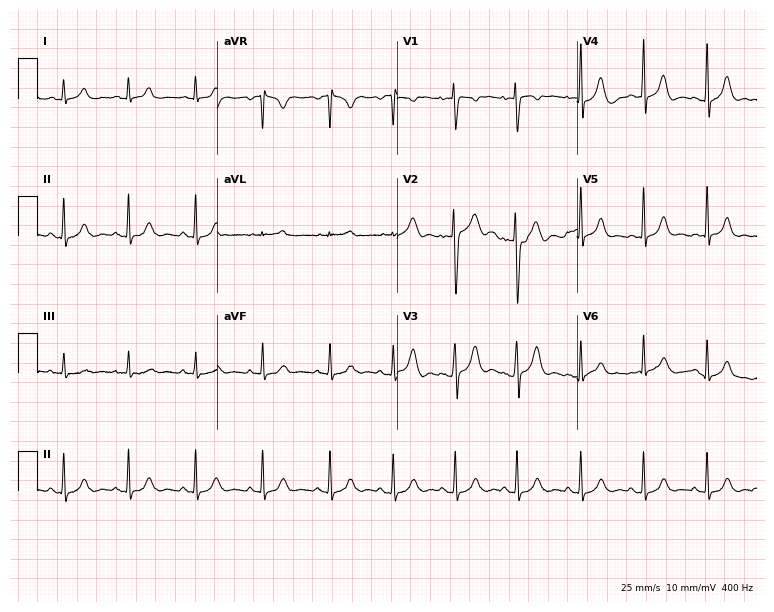
Electrocardiogram (7.3-second recording at 400 Hz), a 40-year-old female patient. Overall reading on record: normal ECG.